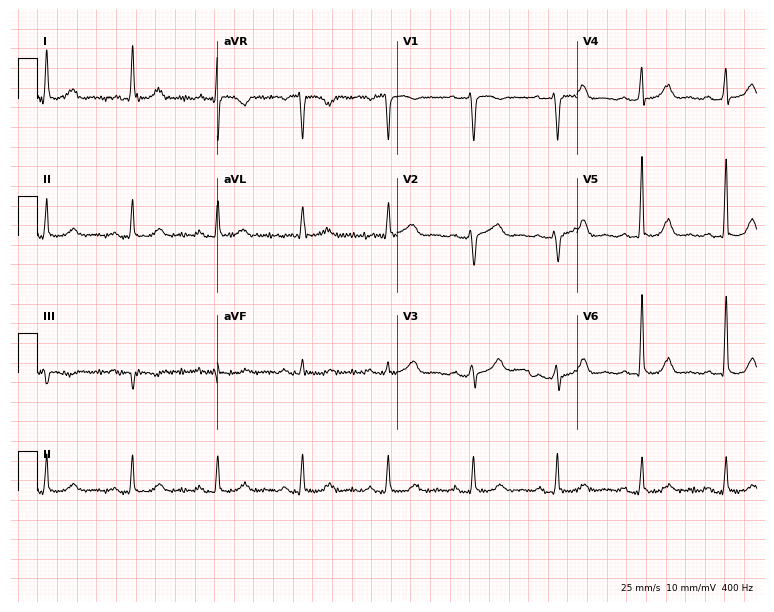
12-lead ECG from a 62-year-old woman. Labelled as a normal ECG.